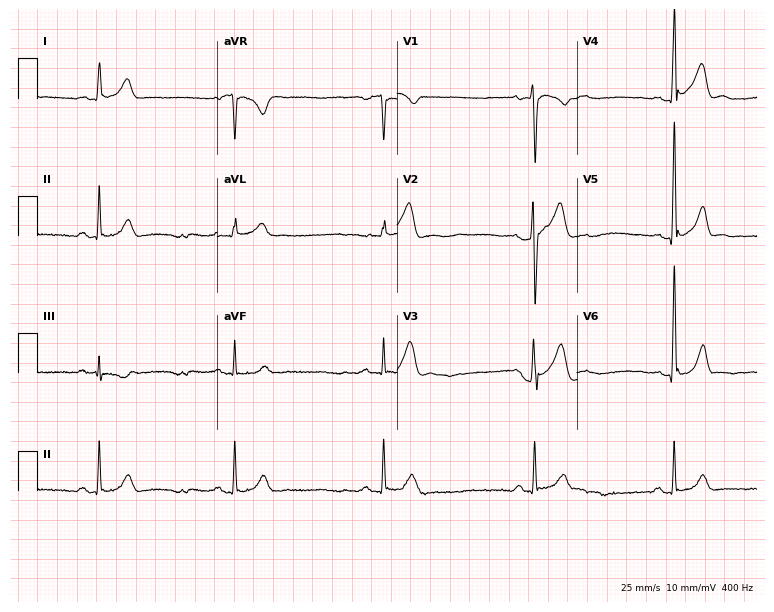
Standard 12-lead ECG recorded from a male, 32 years old. The tracing shows sinus bradycardia (a sinus rate of 50 beats per minute or less).